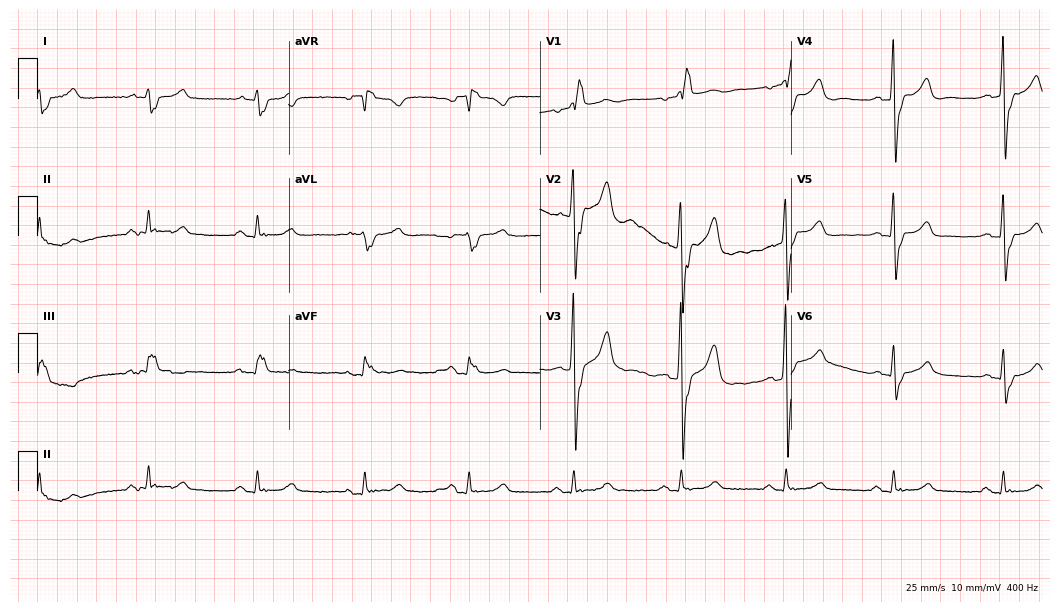
Standard 12-lead ECG recorded from a man, 67 years old (10.2-second recording at 400 Hz). The tracing shows right bundle branch block.